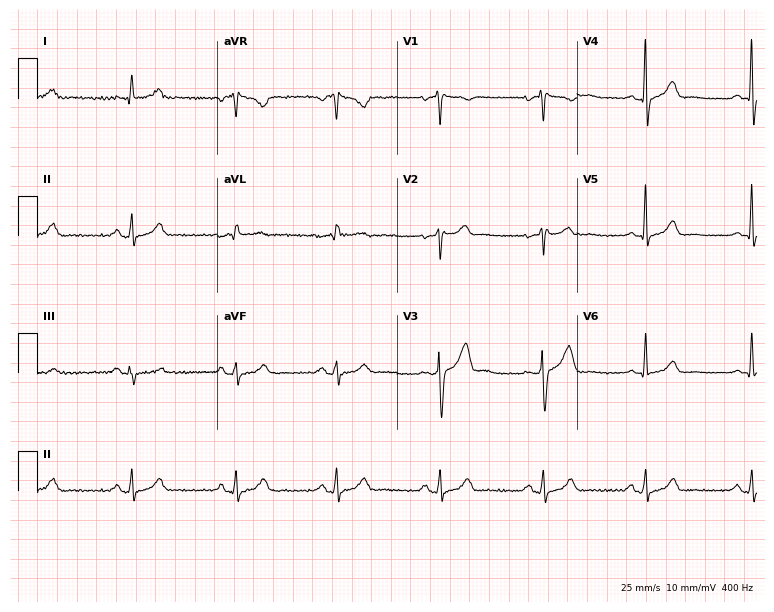
Standard 12-lead ECG recorded from a 42-year-old man. None of these six findings is recorded: first-degree AV block, right bundle branch block (RBBB), left bundle branch block (LBBB), sinus bradycardia, atrial fibrillation (AF), sinus tachycardia. Only these six findings were labelled.